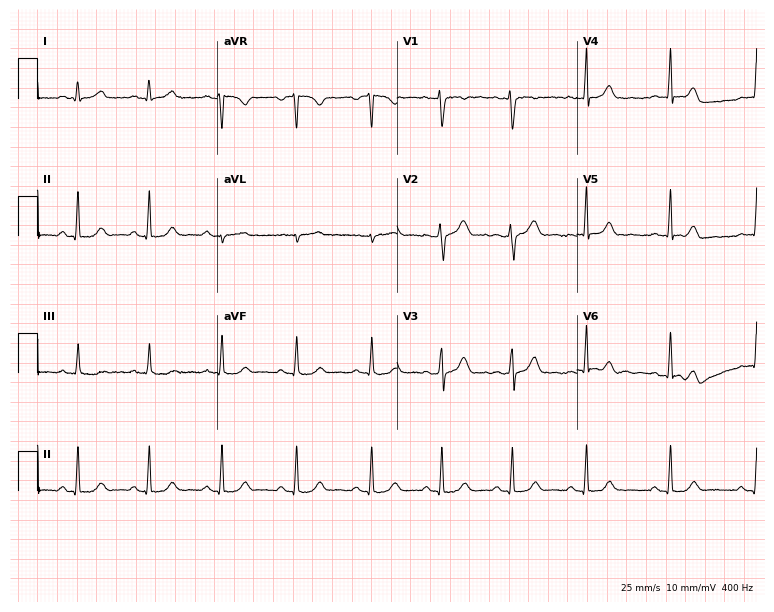
Standard 12-lead ECG recorded from a 29-year-old female (7.3-second recording at 400 Hz). None of these six findings is recorded: first-degree AV block, right bundle branch block, left bundle branch block, sinus bradycardia, atrial fibrillation, sinus tachycardia.